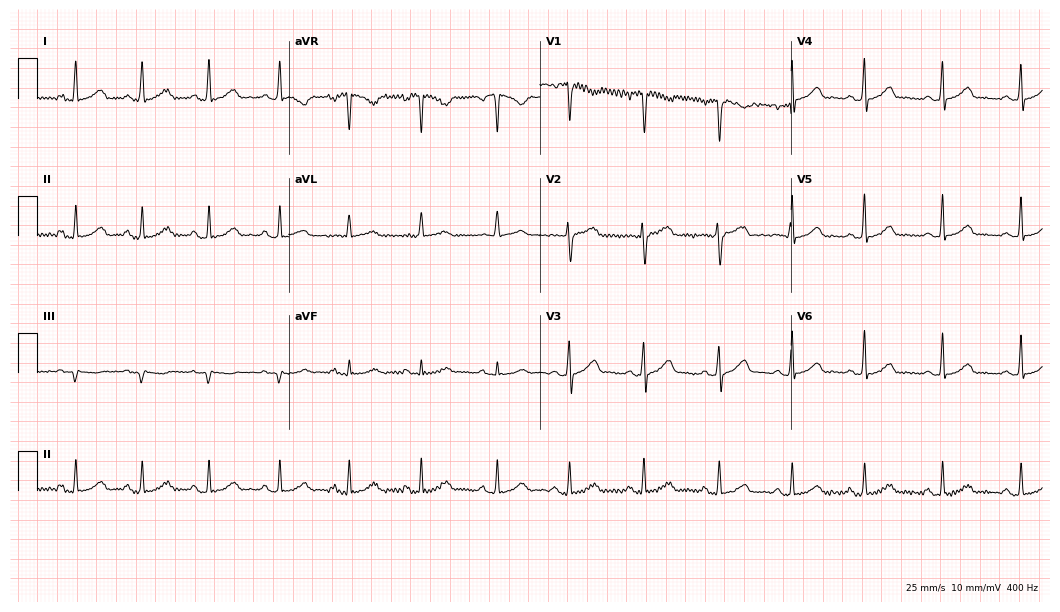
Electrocardiogram (10.2-second recording at 400 Hz), a 31-year-old woman. Overall reading on record: normal ECG.